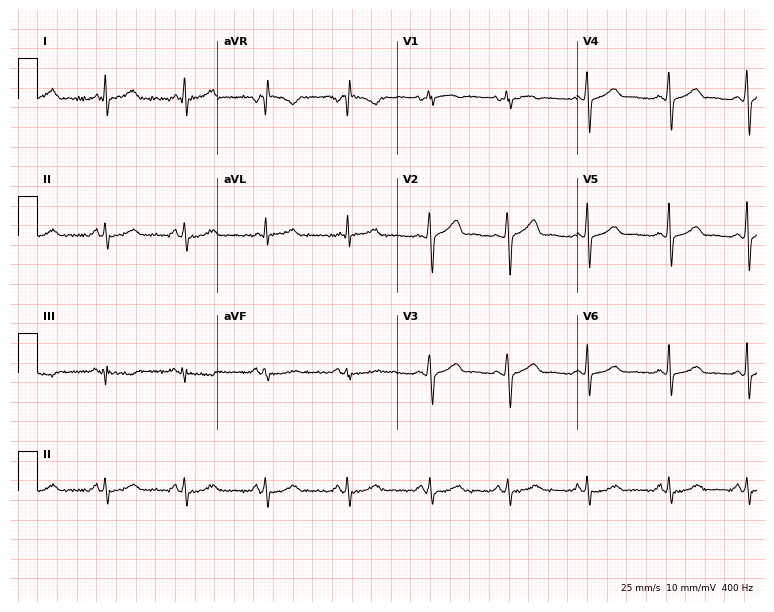
12-lead ECG (7.3-second recording at 400 Hz) from a female patient, 45 years old. Labelled as a normal ECG.